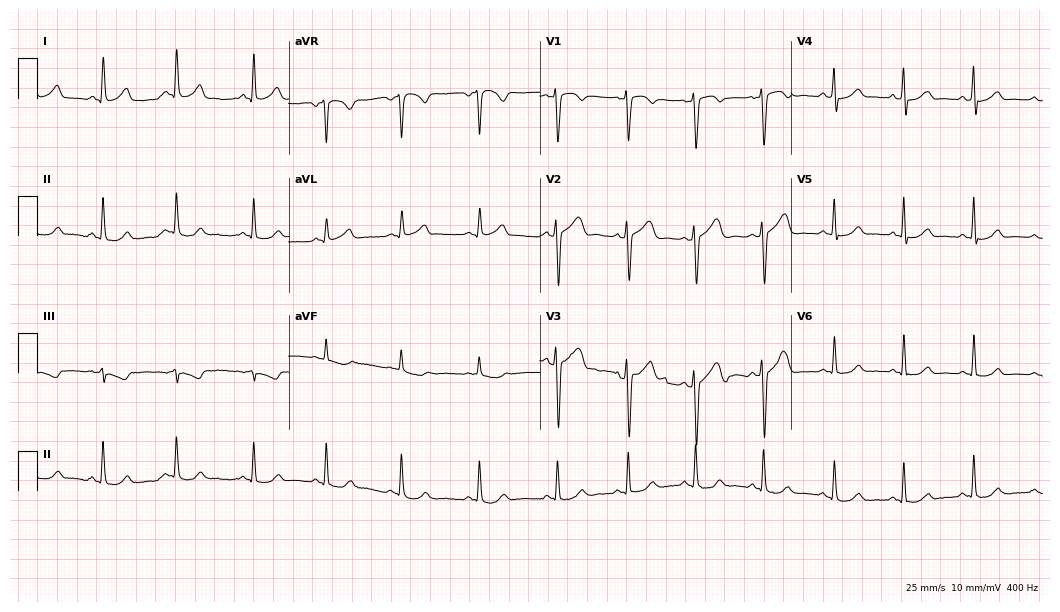
ECG — a male, 26 years old. Labelled as a normal ECG.